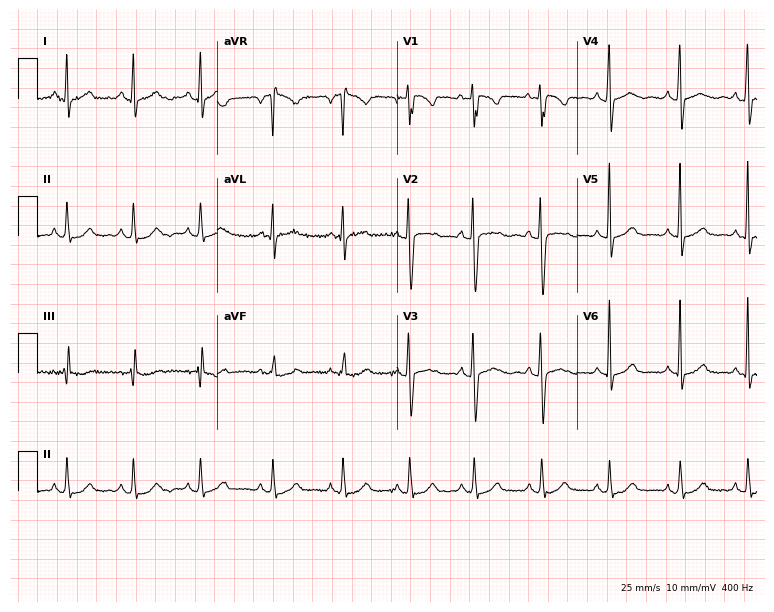
ECG — a woman, 44 years old. Screened for six findings — first-degree AV block, right bundle branch block, left bundle branch block, sinus bradycardia, atrial fibrillation, sinus tachycardia — none is recorded.